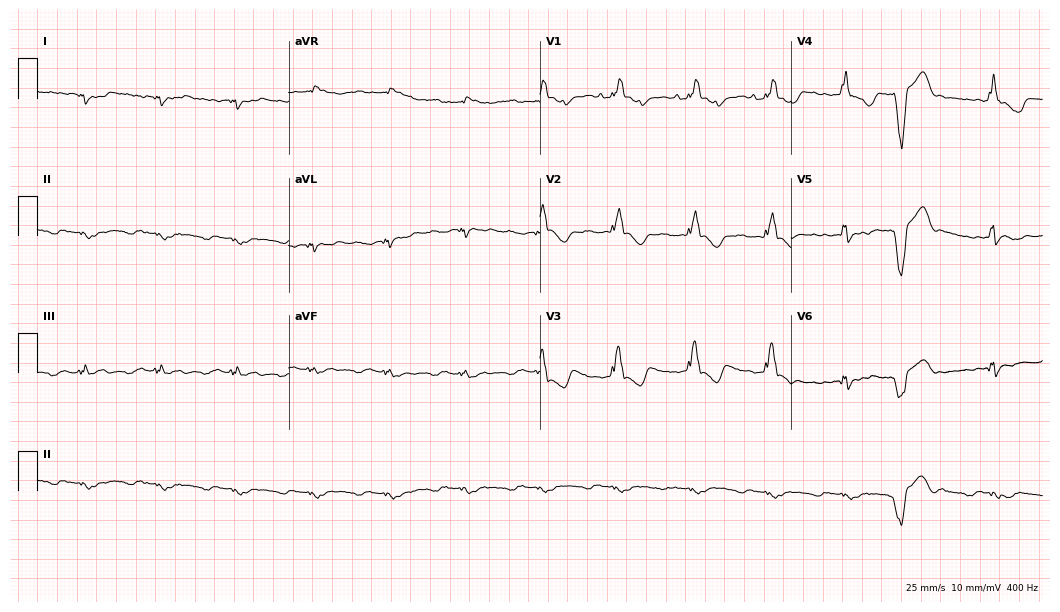
Standard 12-lead ECG recorded from a 79-year-old male (10.2-second recording at 400 Hz). None of these six findings is recorded: first-degree AV block, right bundle branch block (RBBB), left bundle branch block (LBBB), sinus bradycardia, atrial fibrillation (AF), sinus tachycardia. Other findings, if any, are not listed.